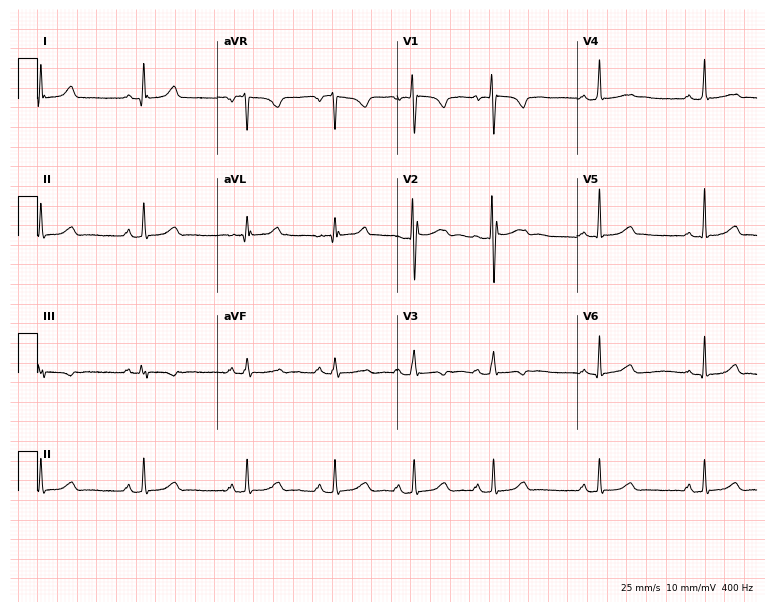
12-lead ECG (7.3-second recording at 400 Hz) from a 25-year-old woman. Labelled as a normal ECG.